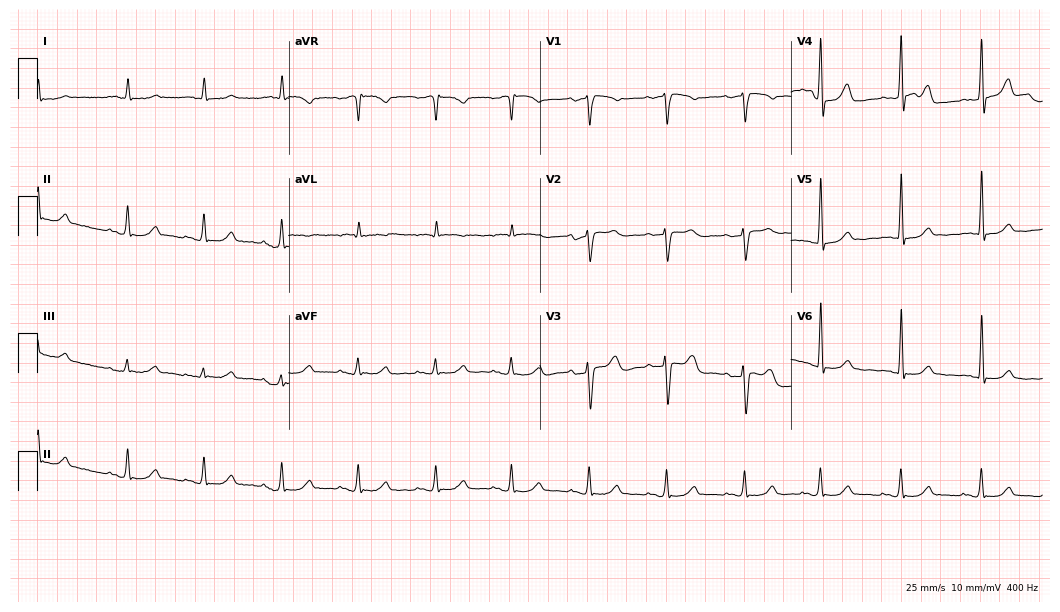
Resting 12-lead electrocardiogram (10.2-second recording at 400 Hz). Patient: a man, 61 years old. Read as a normal ECG.